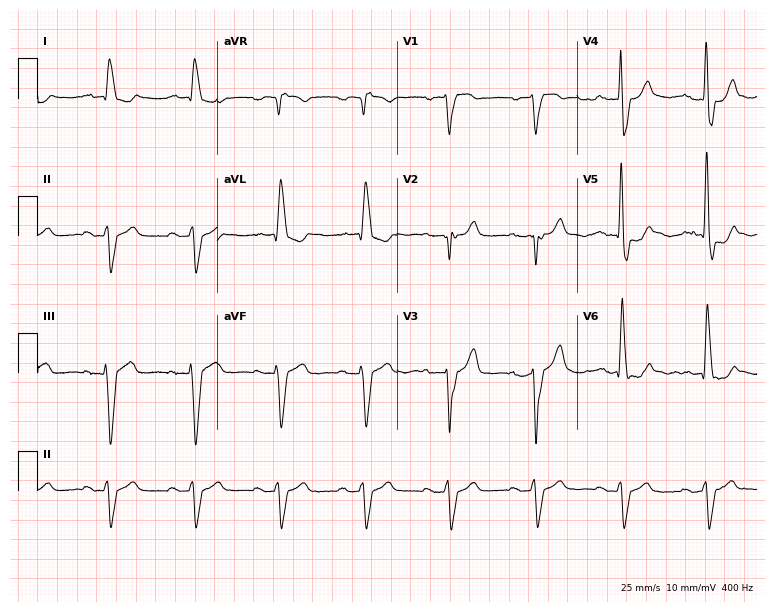
Electrocardiogram, a man, 70 years old. Of the six screened findings (first-degree AV block, right bundle branch block (RBBB), left bundle branch block (LBBB), sinus bradycardia, atrial fibrillation (AF), sinus tachycardia), none is recorded. Only these six findings were labelled.